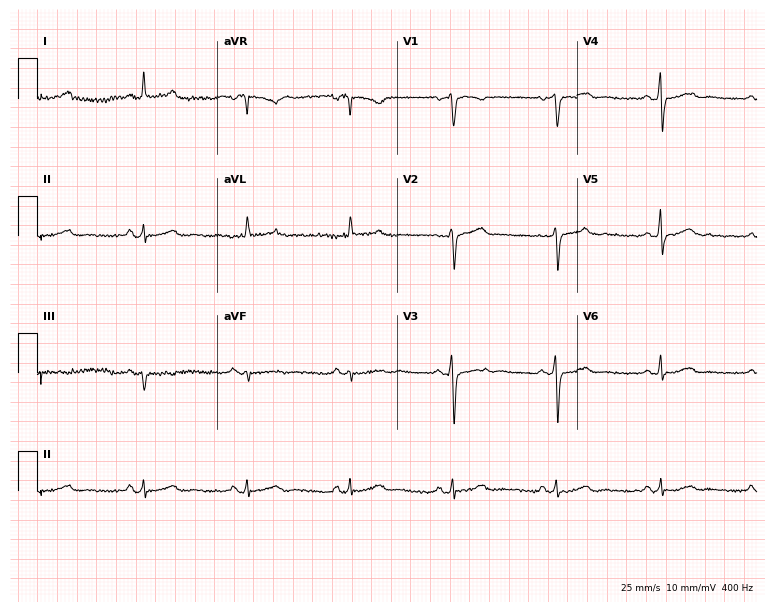
12-lead ECG from a 65-year-old female patient. Recorded interpretation: within normal limits.